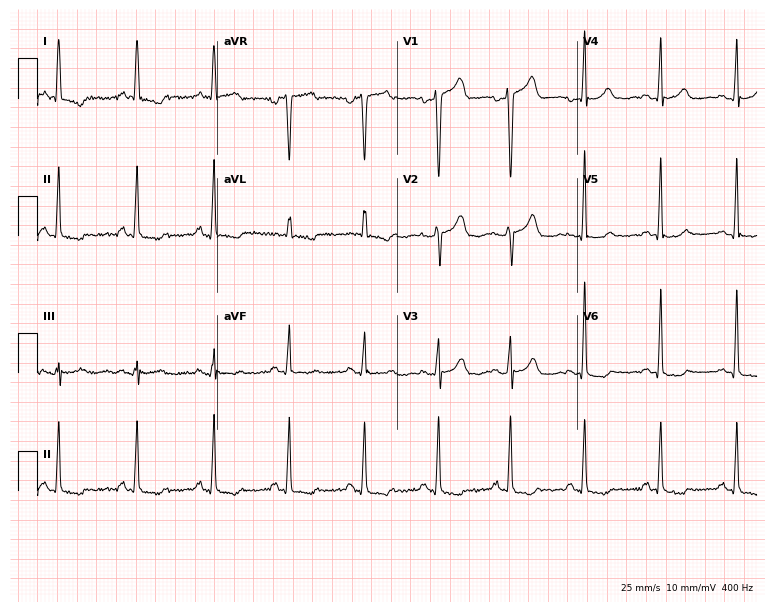
Resting 12-lead electrocardiogram (7.3-second recording at 400 Hz). Patient: a female, 51 years old. None of these six findings is recorded: first-degree AV block, right bundle branch block (RBBB), left bundle branch block (LBBB), sinus bradycardia, atrial fibrillation (AF), sinus tachycardia. Only these six findings were labelled.